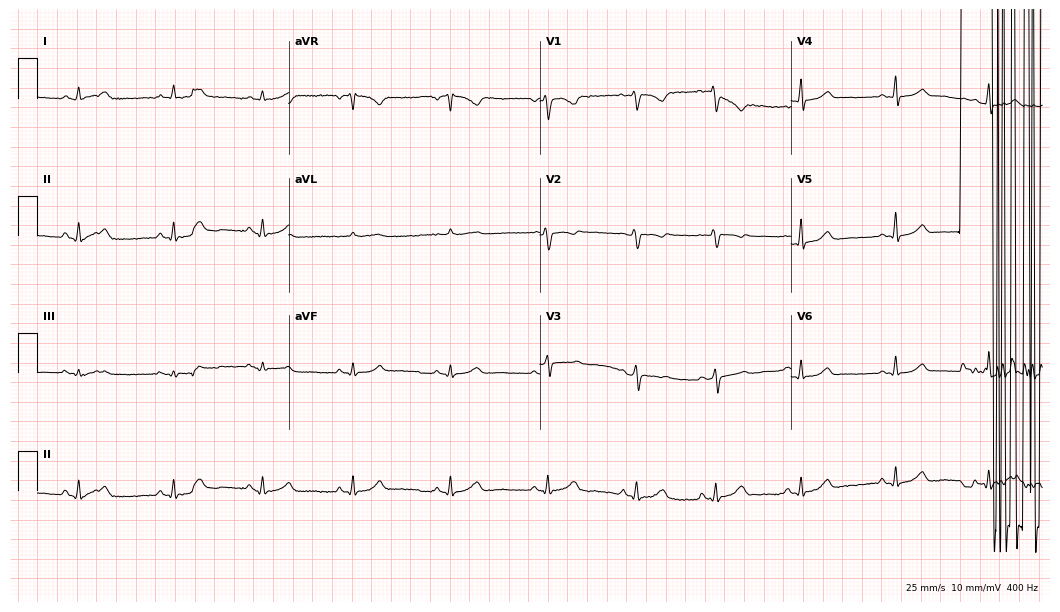
12-lead ECG from a woman, 47 years old (10.2-second recording at 400 Hz). Recorded interpretation: within normal limits.